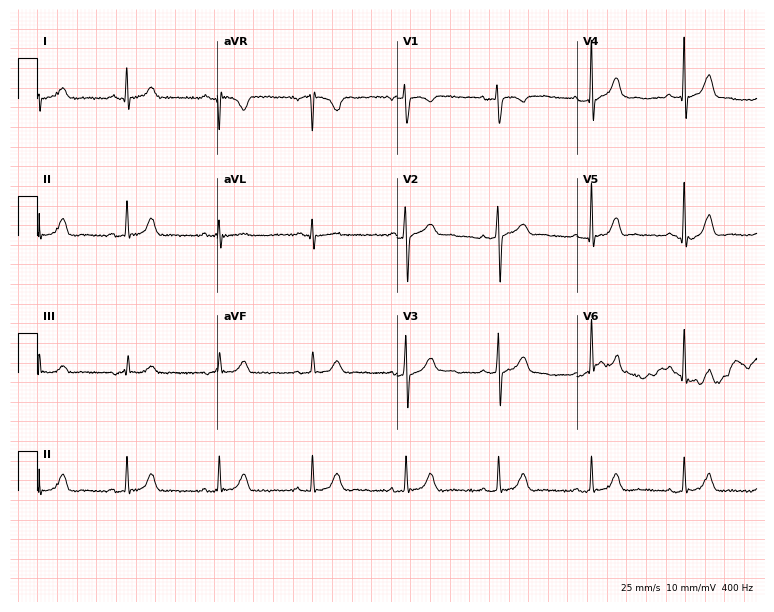
12-lead ECG from a 39-year-old female. Labelled as a normal ECG.